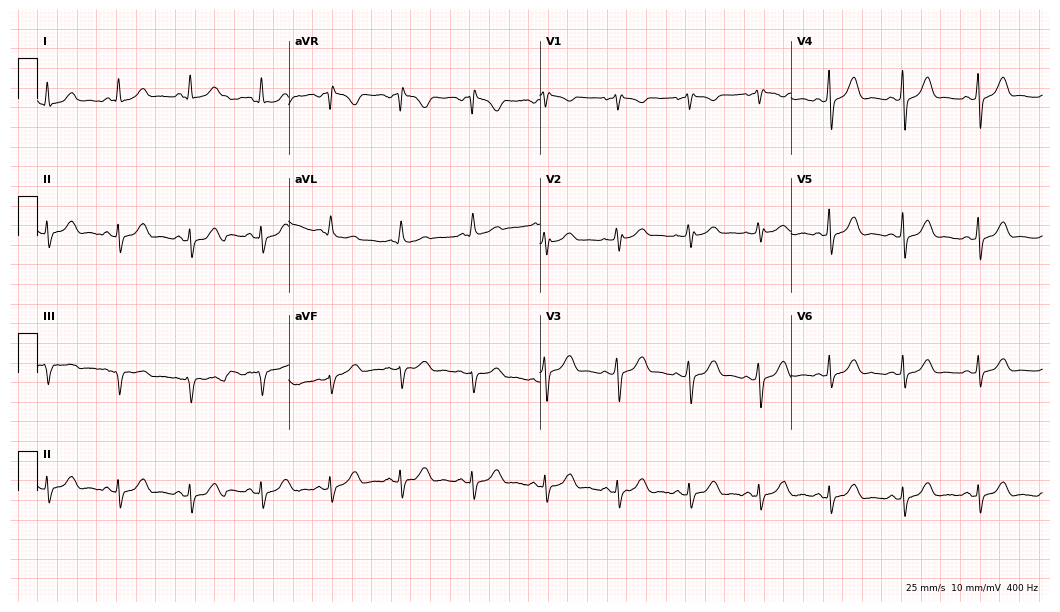
ECG (10.2-second recording at 400 Hz) — a 50-year-old woman. Screened for six findings — first-degree AV block, right bundle branch block, left bundle branch block, sinus bradycardia, atrial fibrillation, sinus tachycardia — none is recorded. Findings outside these six are not listed.